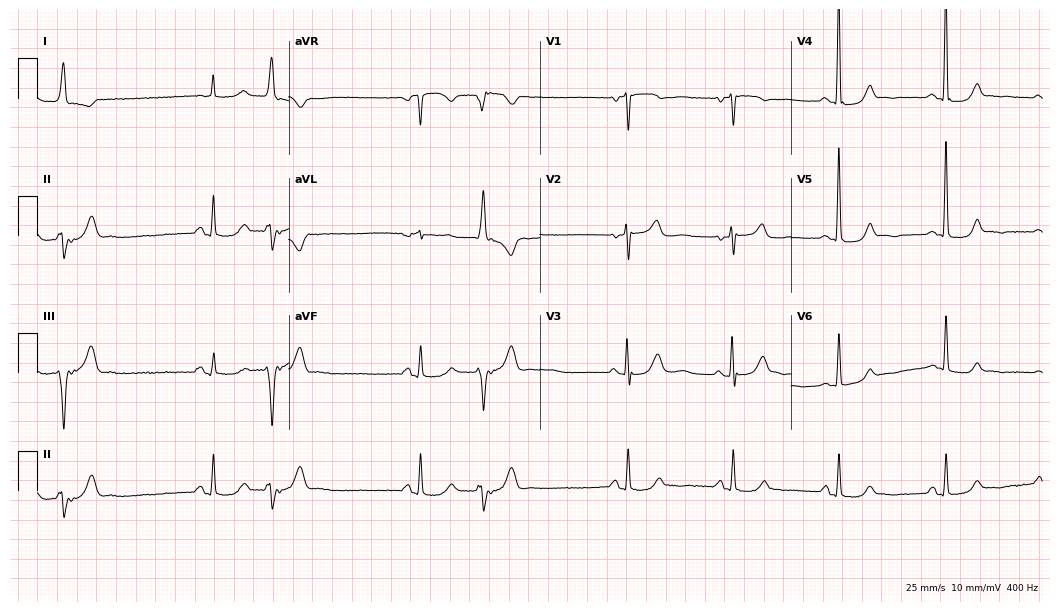
Standard 12-lead ECG recorded from a 77-year-old woman (10.2-second recording at 400 Hz). None of these six findings is recorded: first-degree AV block, right bundle branch block, left bundle branch block, sinus bradycardia, atrial fibrillation, sinus tachycardia. Only these six findings were labelled.